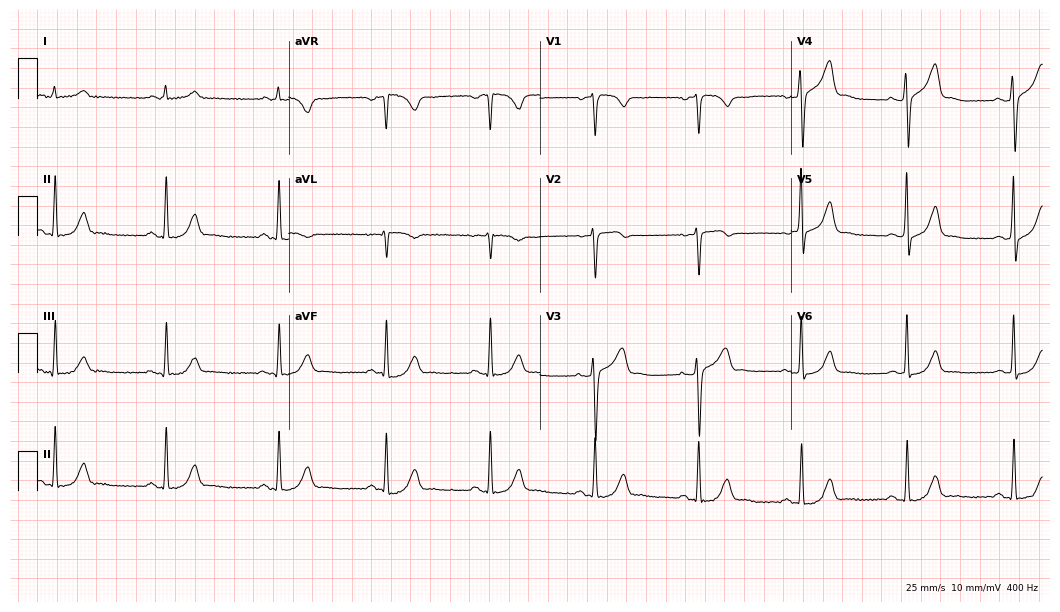
Resting 12-lead electrocardiogram. Patient: a 67-year-old male. None of these six findings is recorded: first-degree AV block, right bundle branch block, left bundle branch block, sinus bradycardia, atrial fibrillation, sinus tachycardia. Other findings, if any, are not listed.